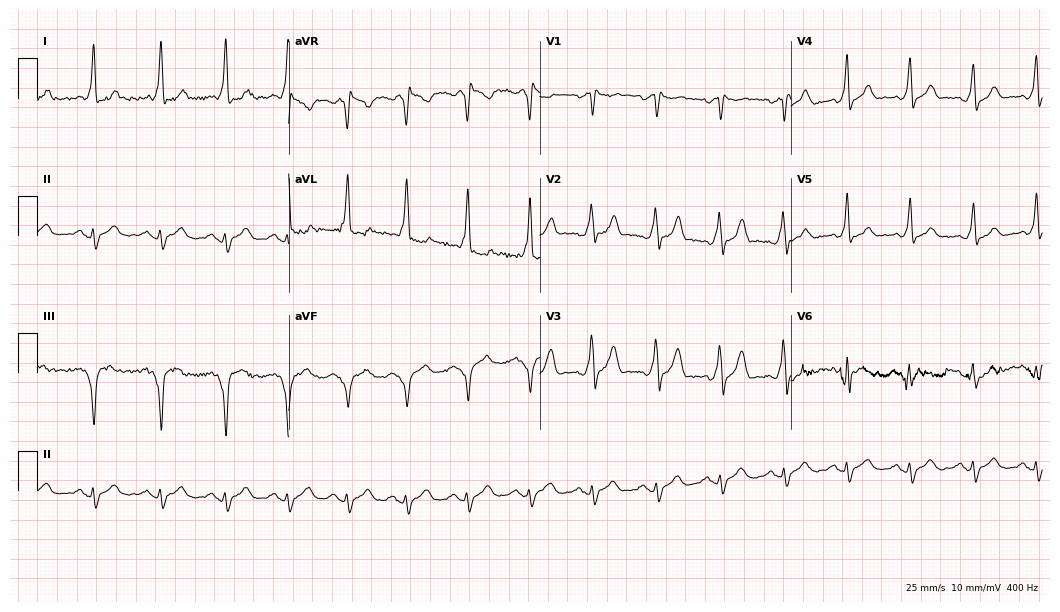
ECG (10.2-second recording at 400 Hz) — a male, 38 years old. Screened for six findings — first-degree AV block, right bundle branch block, left bundle branch block, sinus bradycardia, atrial fibrillation, sinus tachycardia — none is recorded. Findings outside these six are not listed.